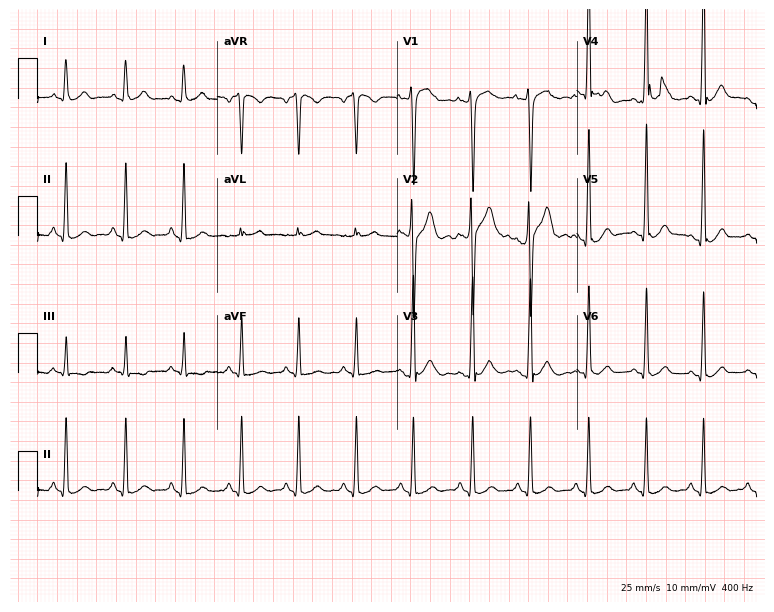
Electrocardiogram, a man, 22 years old. Interpretation includes sinus tachycardia (a sinus rate of 100 beats per minute or more).